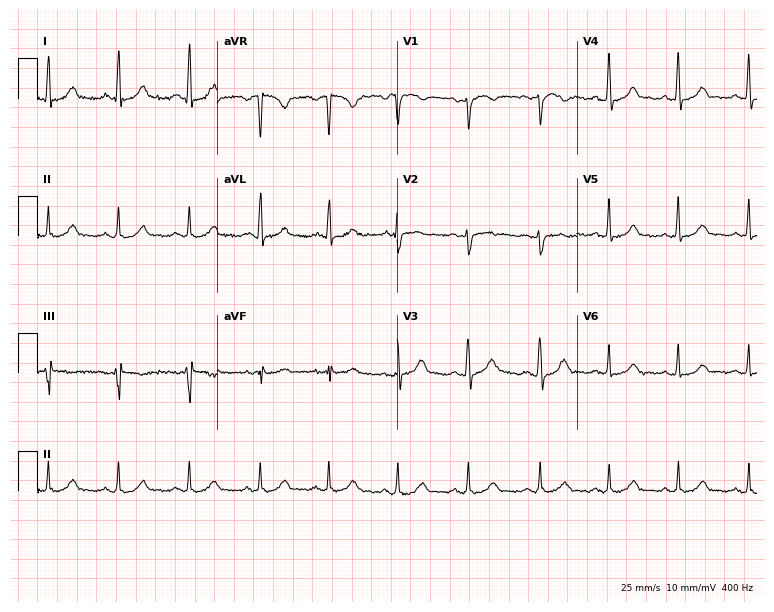
Resting 12-lead electrocardiogram (7.3-second recording at 400 Hz). Patient: a 34-year-old female. None of these six findings is recorded: first-degree AV block, right bundle branch block, left bundle branch block, sinus bradycardia, atrial fibrillation, sinus tachycardia. Findings outside these six are not listed.